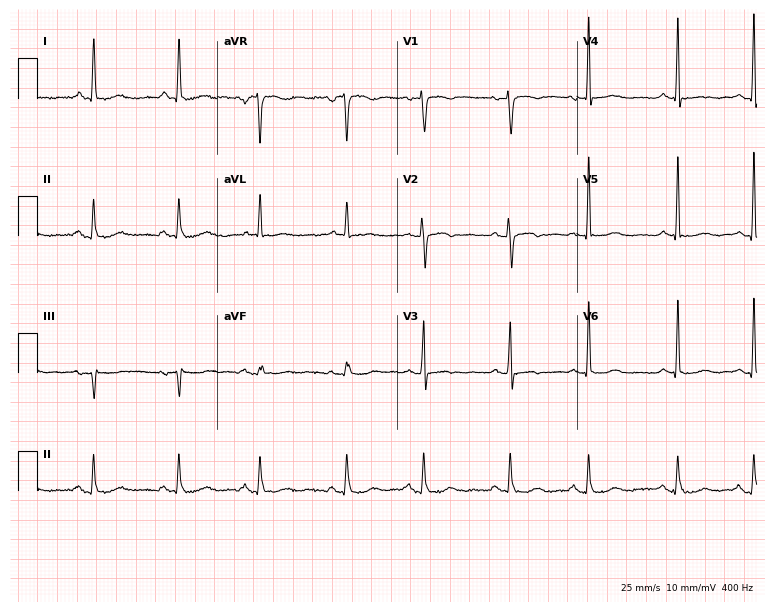
12-lead ECG (7.3-second recording at 400 Hz) from a 65-year-old female patient. Screened for six findings — first-degree AV block, right bundle branch block, left bundle branch block, sinus bradycardia, atrial fibrillation, sinus tachycardia — none is recorded.